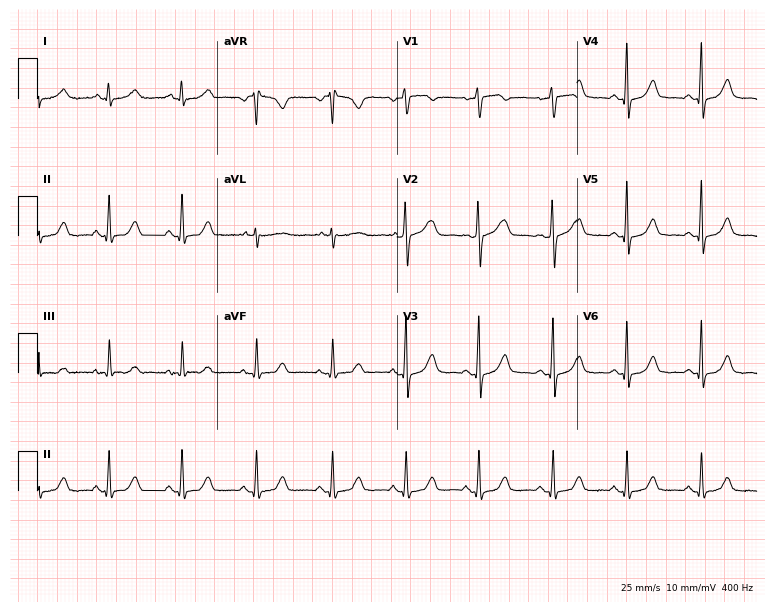
12-lead ECG from a 43-year-old female patient (7.3-second recording at 400 Hz). Recorded interpretation: within normal limits.